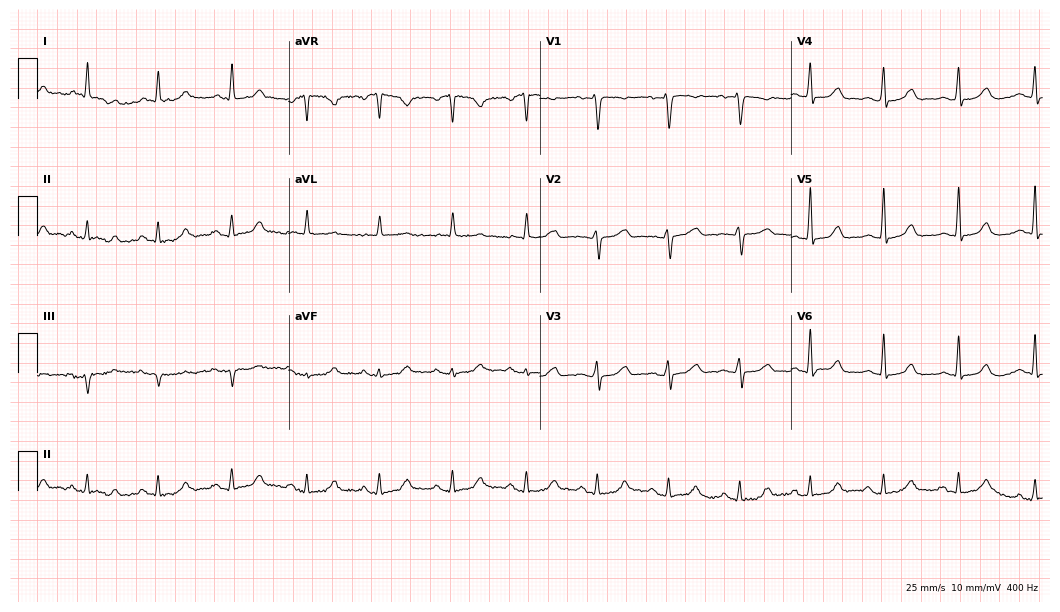
12-lead ECG from a 48-year-old female patient. Recorded interpretation: within normal limits.